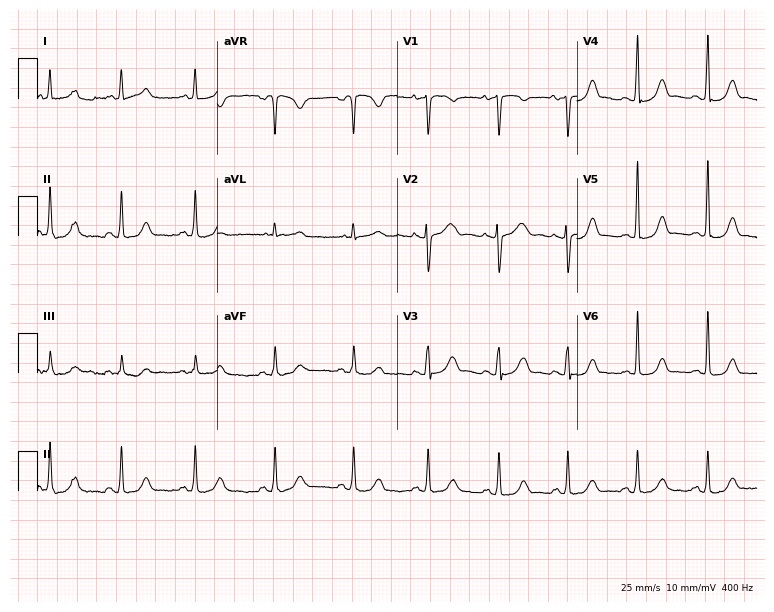
12-lead ECG from a 27-year-old woman. Recorded interpretation: within normal limits.